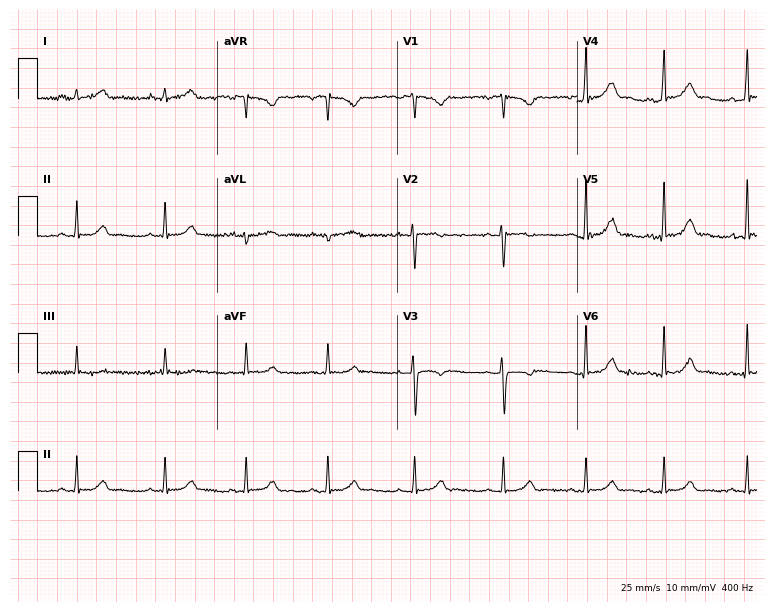
12-lead ECG from a 22-year-old female. Recorded interpretation: within normal limits.